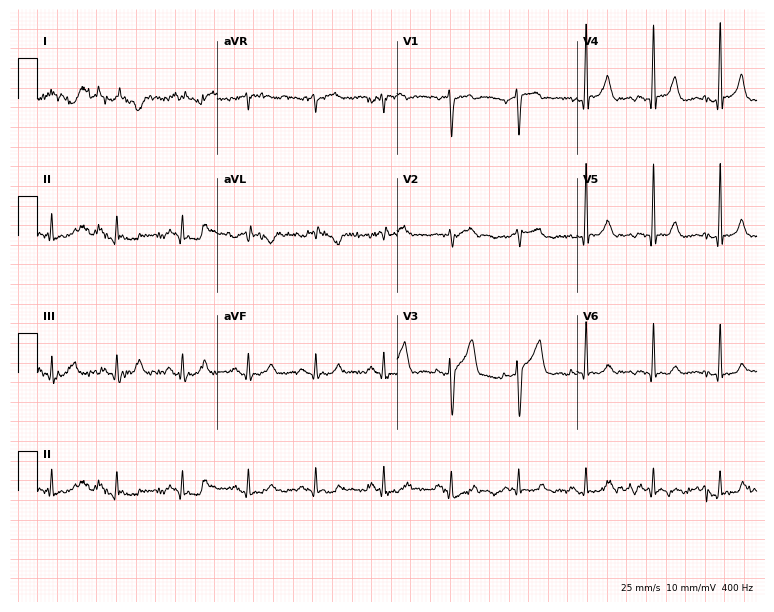
ECG — a male patient, 48 years old. Screened for six findings — first-degree AV block, right bundle branch block (RBBB), left bundle branch block (LBBB), sinus bradycardia, atrial fibrillation (AF), sinus tachycardia — none is recorded.